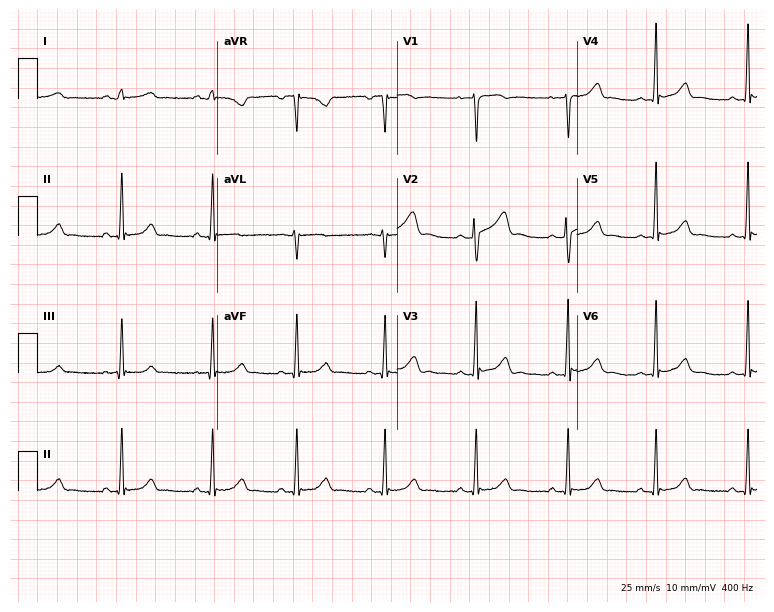
12-lead ECG from a female patient, 39 years old. Recorded interpretation: within normal limits.